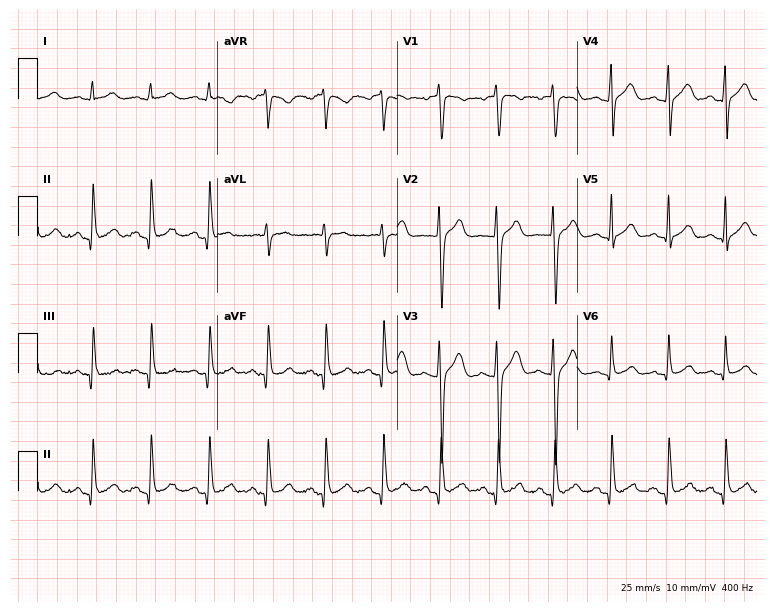
ECG — a male, 24 years old. Labelled as a normal ECG.